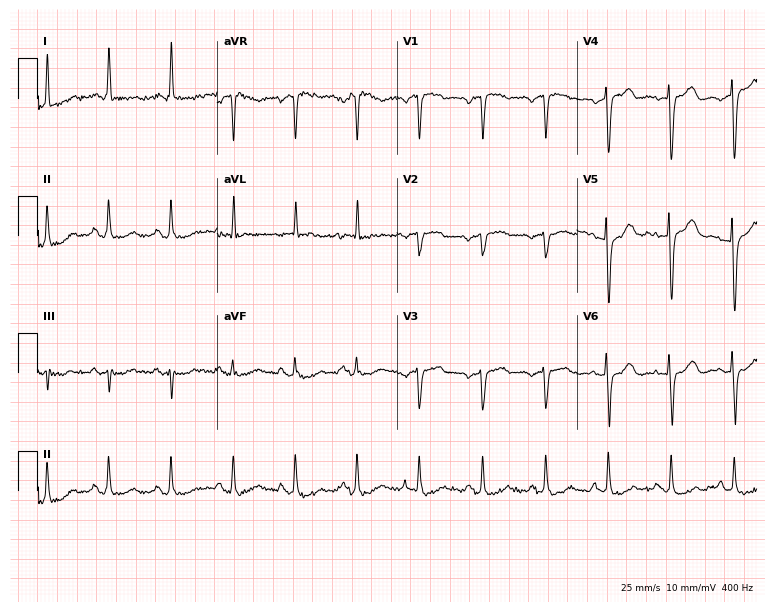
Electrocardiogram (7.3-second recording at 400 Hz), a female, 78 years old. Of the six screened findings (first-degree AV block, right bundle branch block (RBBB), left bundle branch block (LBBB), sinus bradycardia, atrial fibrillation (AF), sinus tachycardia), none is recorded.